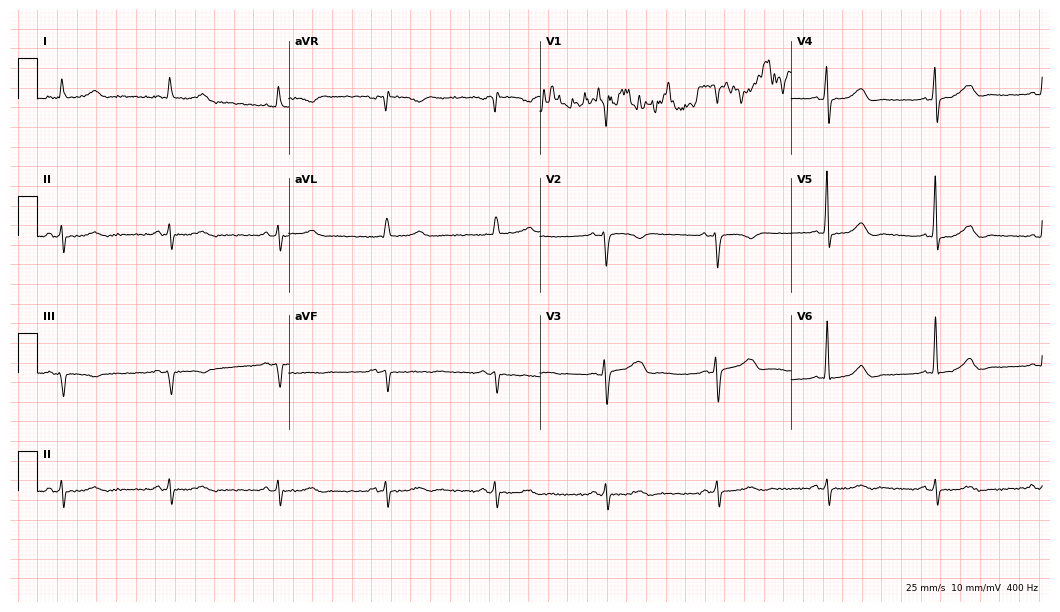
12-lead ECG from an 85-year-old man. Screened for six findings — first-degree AV block, right bundle branch block, left bundle branch block, sinus bradycardia, atrial fibrillation, sinus tachycardia — none is recorded. Only these six findings were labelled.